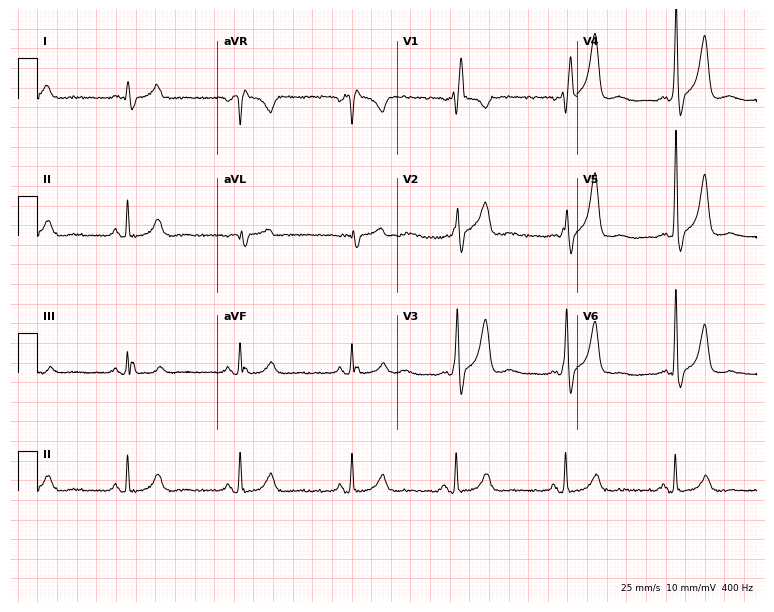
Resting 12-lead electrocardiogram (7.3-second recording at 400 Hz). Patient: a male, 55 years old. The tracing shows right bundle branch block.